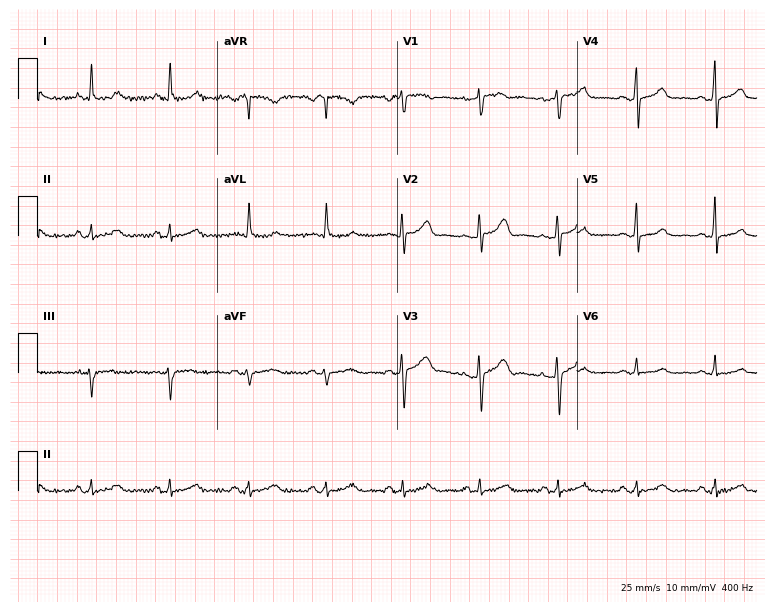
Electrocardiogram, a 49-year-old woman. Overall reading on record: normal ECG.